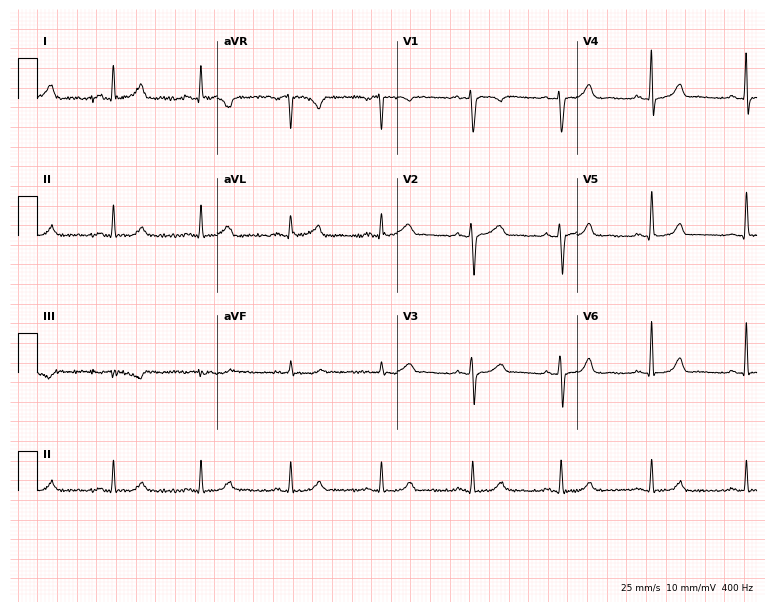
Resting 12-lead electrocardiogram (7.3-second recording at 400 Hz). Patient: a female, 42 years old. None of these six findings is recorded: first-degree AV block, right bundle branch block (RBBB), left bundle branch block (LBBB), sinus bradycardia, atrial fibrillation (AF), sinus tachycardia. Only these six findings were labelled.